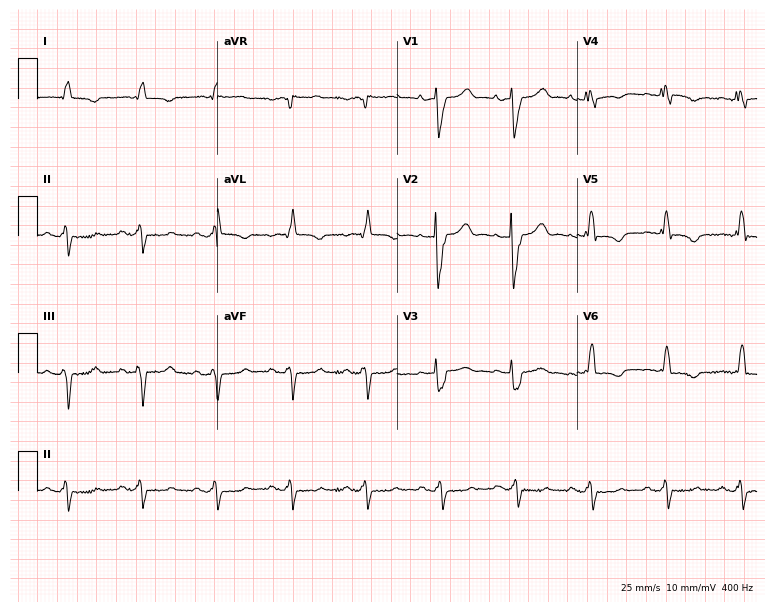
12-lead ECG from an 82-year-old woman. No first-degree AV block, right bundle branch block, left bundle branch block, sinus bradycardia, atrial fibrillation or sinus tachycardia recorded for this tracing. Findings outside these six are not listed.